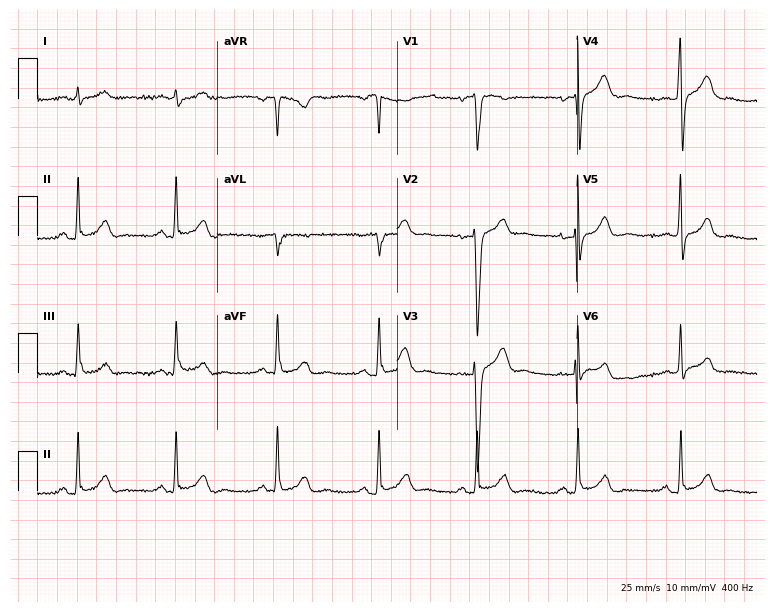
12-lead ECG from a 47-year-old male (7.3-second recording at 400 Hz). Recorded interpretation: within normal limits.